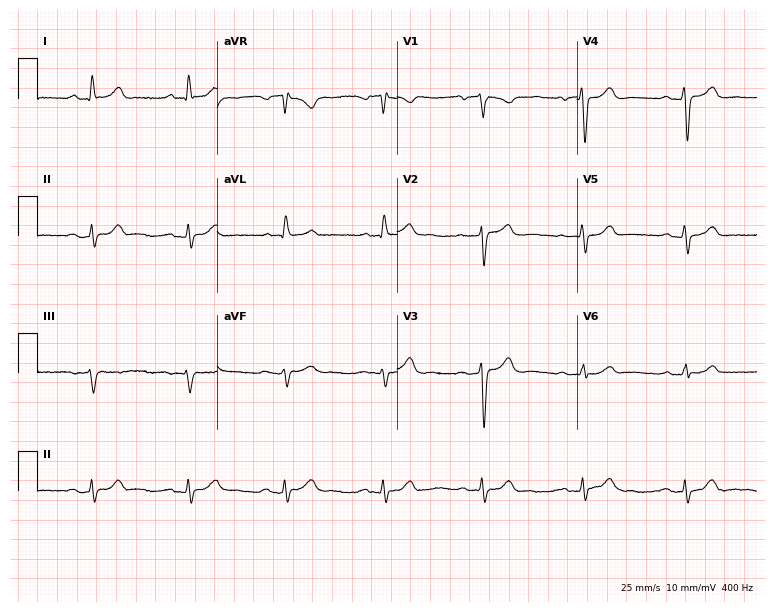
Standard 12-lead ECG recorded from a man, 84 years old. Read as a normal ECG.